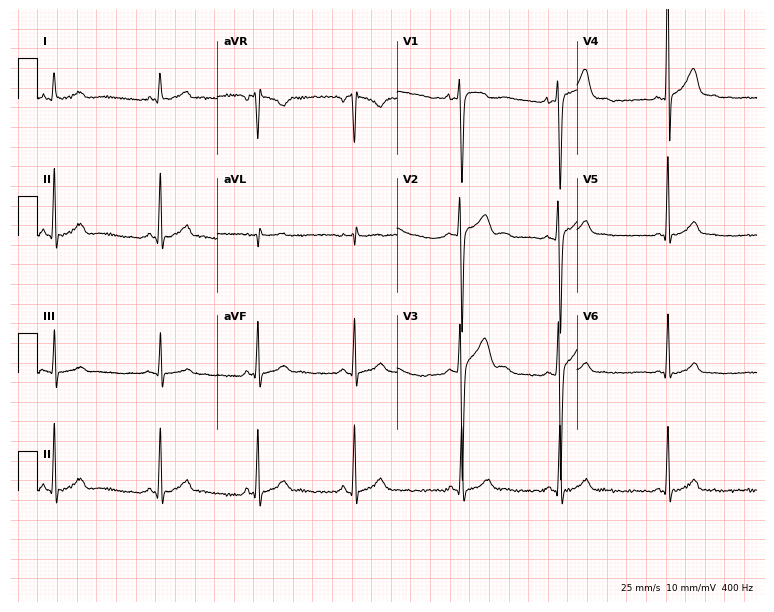
12-lead ECG (7.3-second recording at 400 Hz) from a male patient, 18 years old. Labelled as a normal ECG.